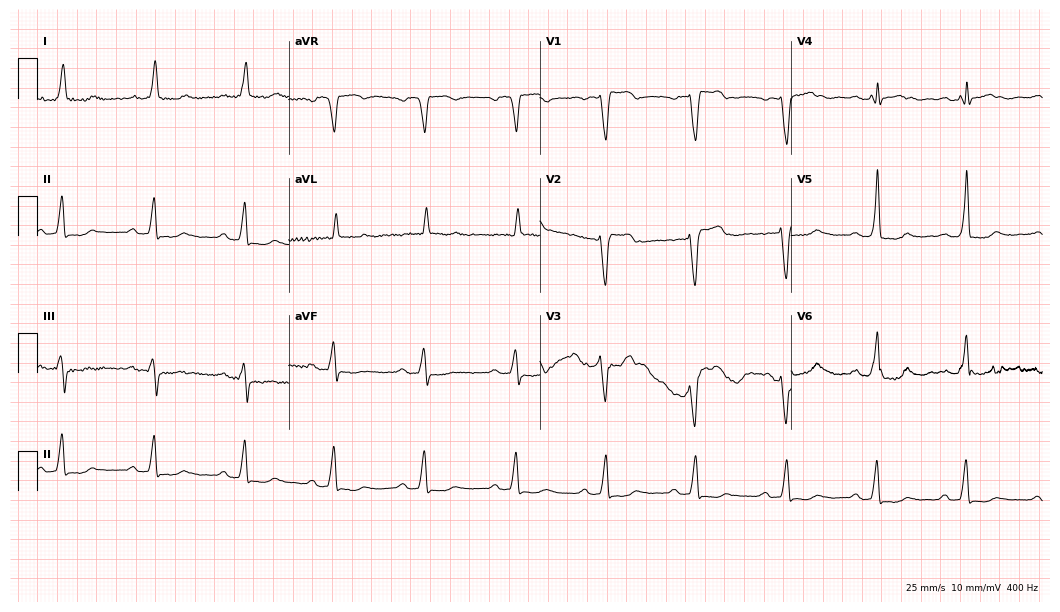
Resting 12-lead electrocardiogram (10.2-second recording at 400 Hz). Patient: a 69-year-old female. The tracing shows left bundle branch block (LBBB).